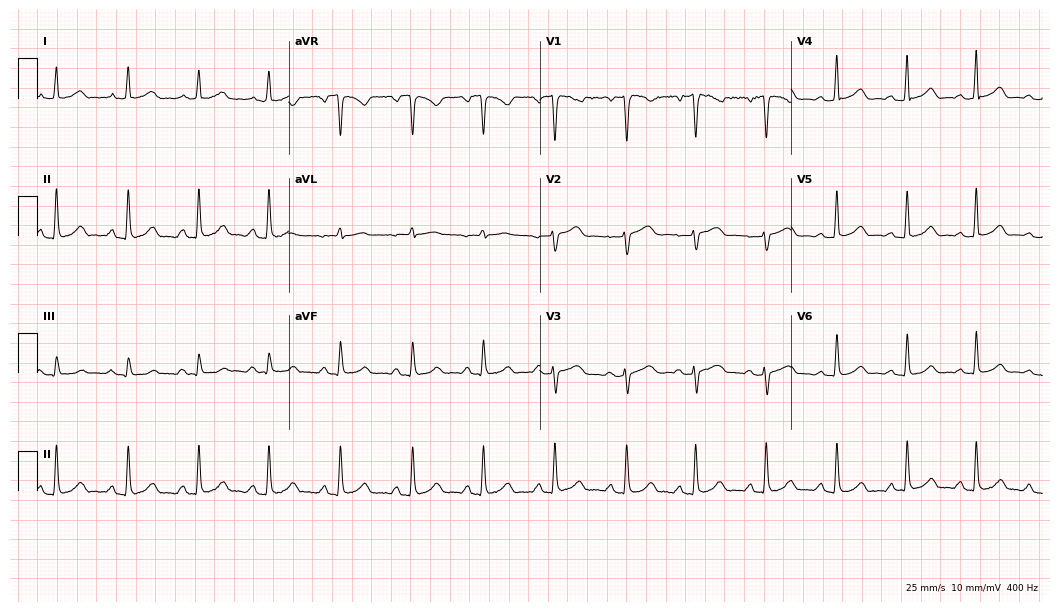
Resting 12-lead electrocardiogram. Patient: a female, 41 years old. Read as a normal ECG.